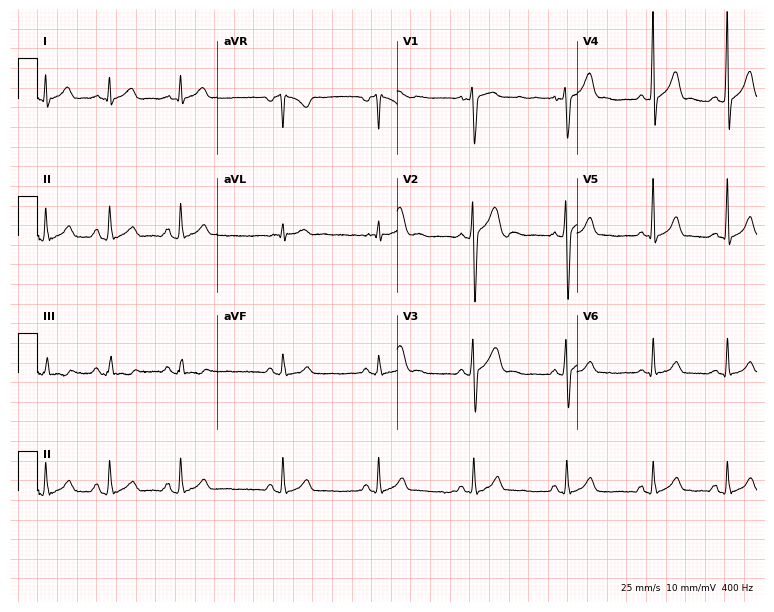
Resting 12-lead electrocardiogram (7.3-second recording at 400 Hz). Patient: a 17-year-old man. Read as a normal ECG.